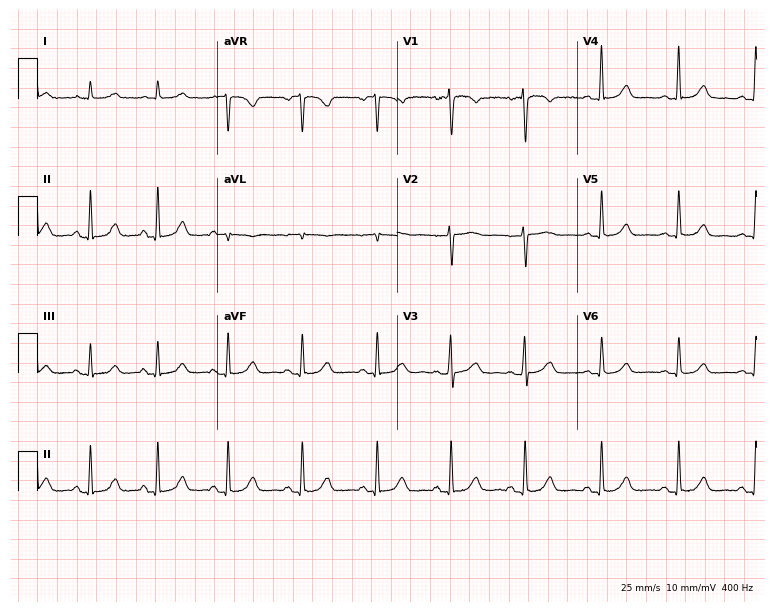
ECG (7.3-second recording at 400 Hz) — a 63-year-old woman. Labelled as a normal ECG.